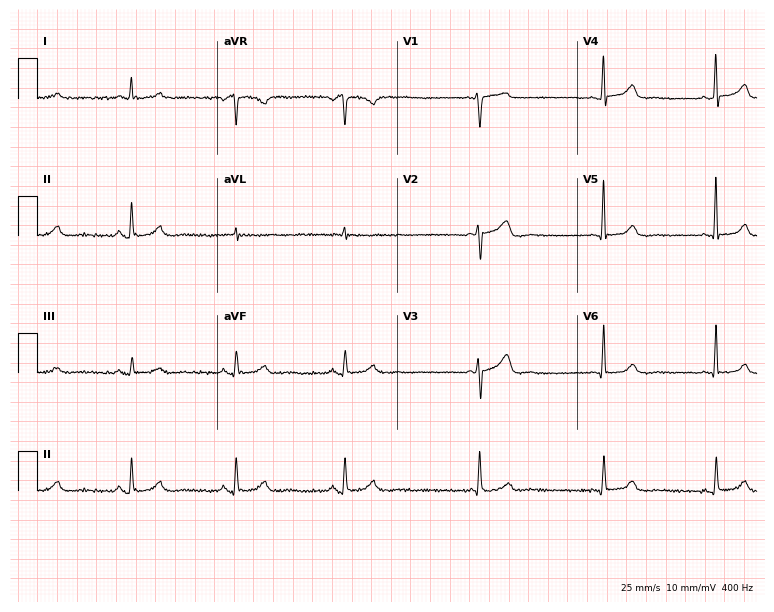
12-lead ECG (7.3-second recording at 400 Hz) from a female, 47 years old. Labelled as a normal ECG.